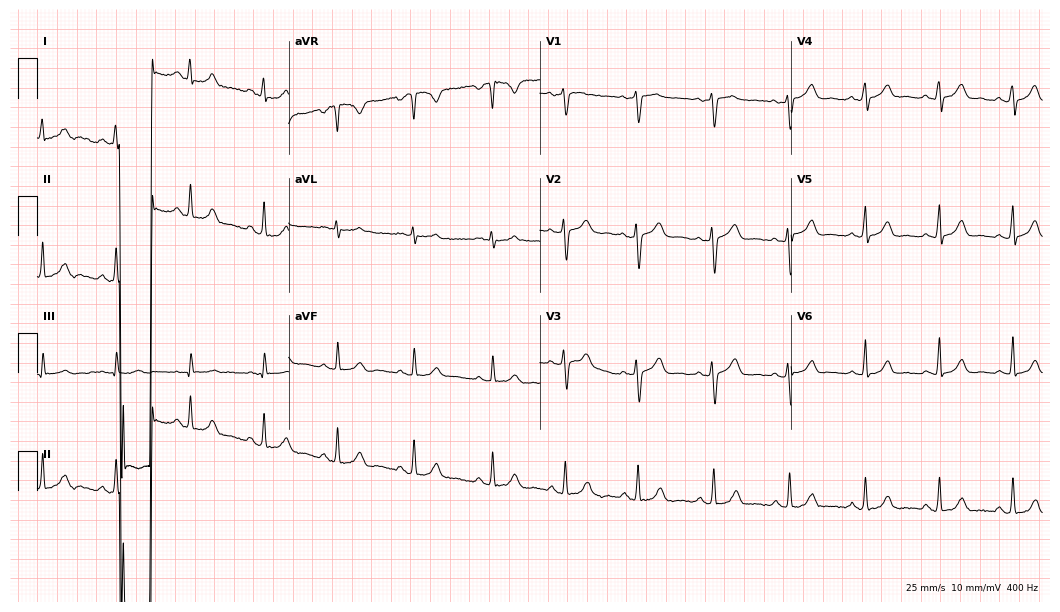
12-lead ECG (10.2-second recording at 400 Hz) from a 34-year-old female. Labelled as a normal ECG.